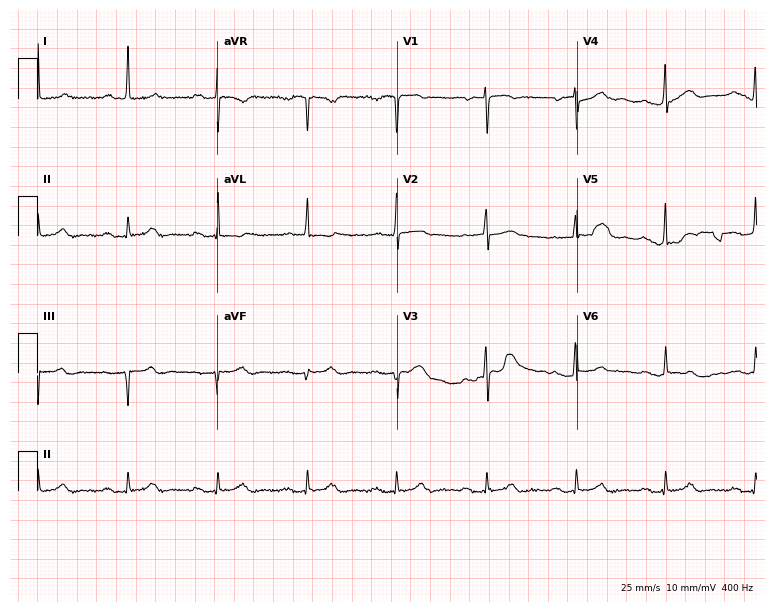
ECG (7.3-second recording at 400 Hz) — a 66-year-old male patient. Findings include first-degree AV block.